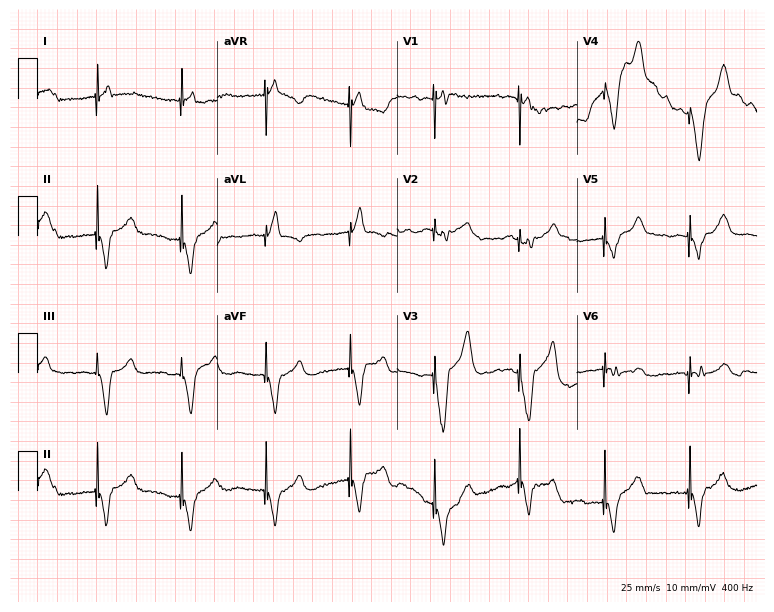
Standard 12-lead ECG recorded from a man, 64 years old (7.3-second recording at 400 Hz). None of these six findings is recorded: first-degree AV block, right bundle branch block (RBBB), left bundle branch block (LBBB), sinus bradycardia, atrial fibrillation (AF), sinus tachycardia. Other findings, if any, are not listed.